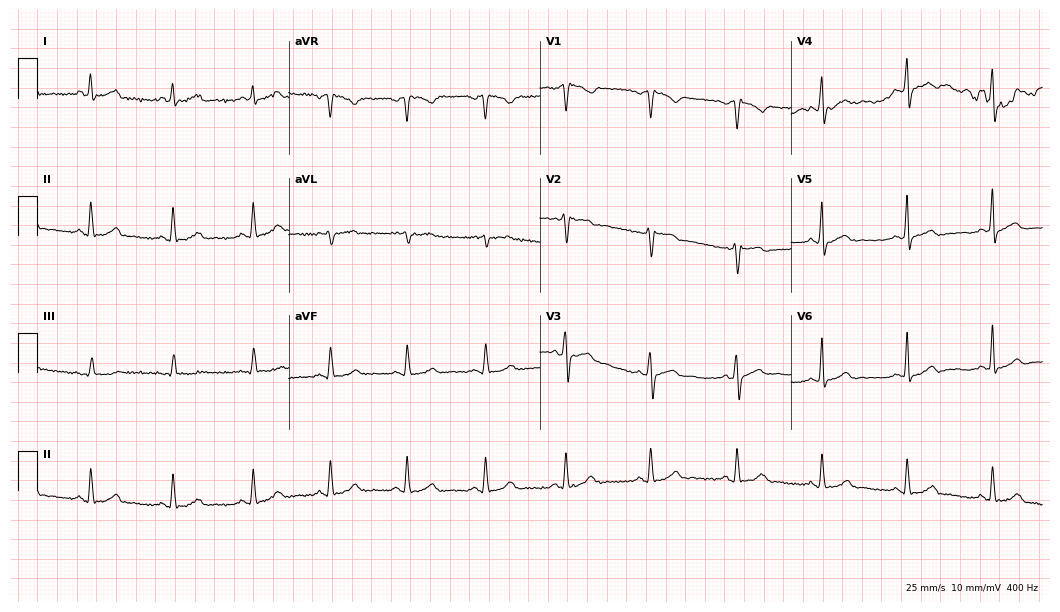
12-lead ECG from a 42-year-old male. Screened for six findings — first-degree AV block, right bundle branch block, left bundle branch block, sinus bradycardia, atrial fibrillation, sinus tachycardia — none is recorded.